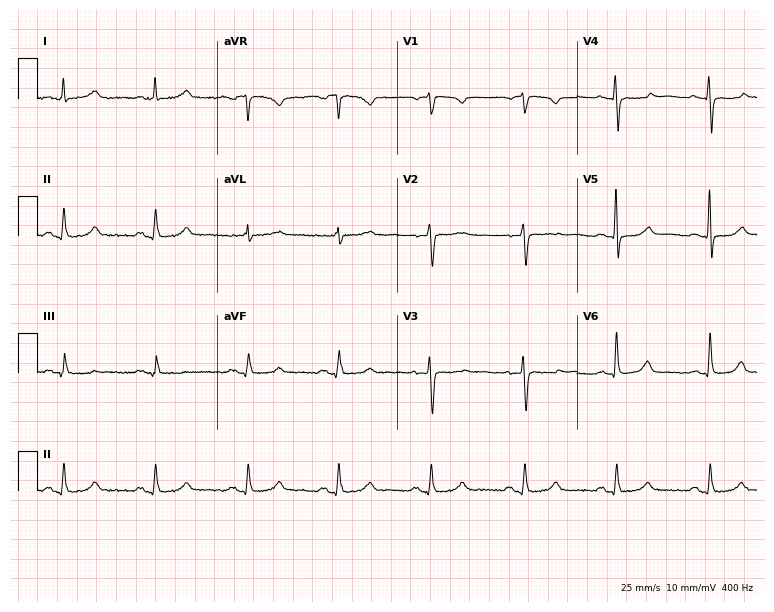
12-lead ECG (7.3-second recording at 400 Hz) from a 74-year-old woman. Labelled as a normal ECG.